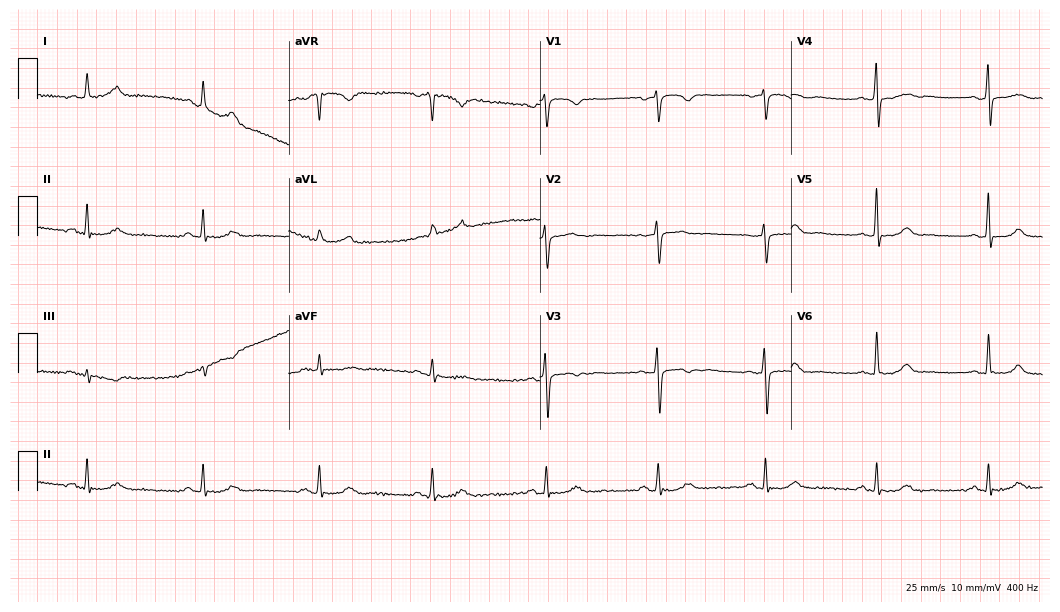
Standard 12-lead ECG recorded from a woman, 59 years old (10.2-second recording at 400 Hz). Read as a normal ECG.